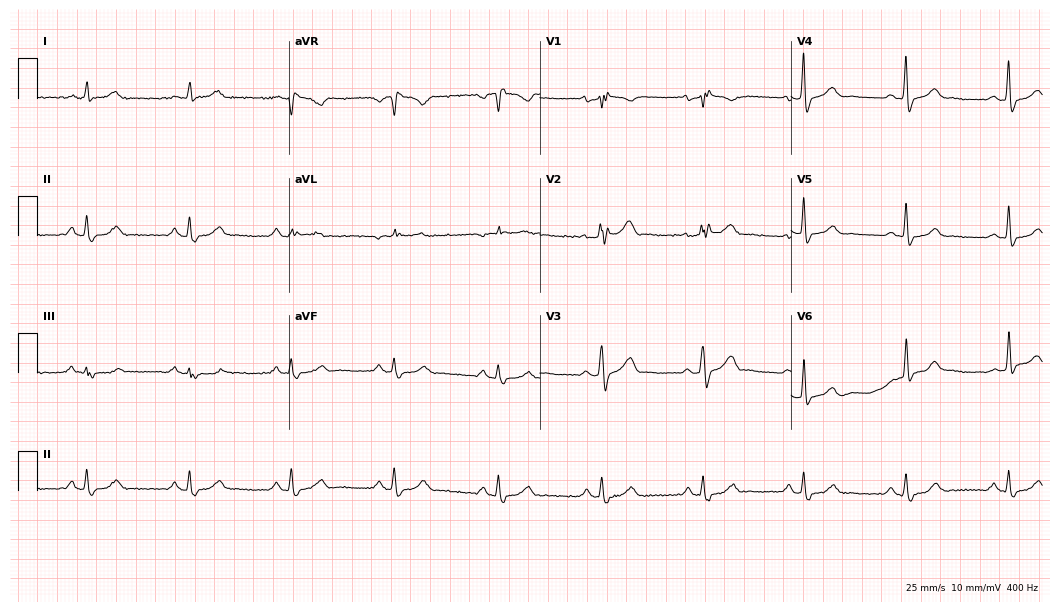
Standard 12-lead ECG recorded from a 50-year-old male (10.2-second recording at 400 Hz). None of these six findings is recorded: first-degree AV block, right bundle branch block, left bundle branch block, sinus bradycardia, atrial fibrillation, sinus tachycardia.